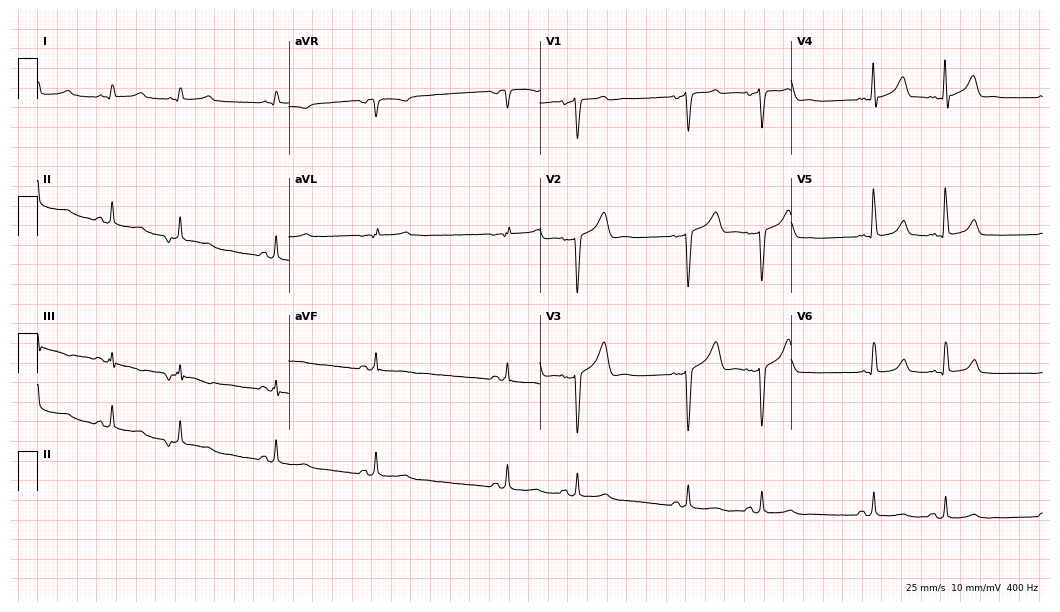
12-lead ECG from a male, 50 years old (10.2-second recording at 400 Hz). No first-degree AV block, right bundle branch block, left bundle branch block, sinus bradycardia, atrial fibrillation or sinus tachycardia recorded for this tracing.